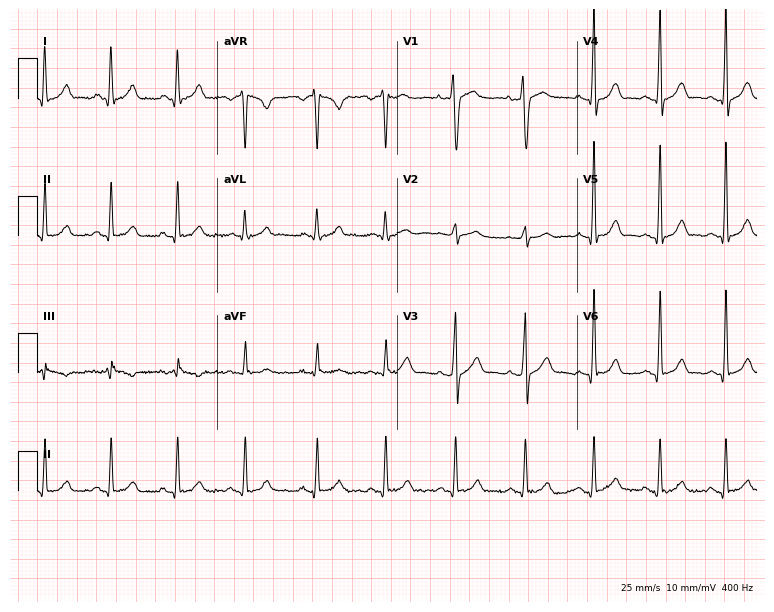
ECG (7.3-second recording at 400 Hz) — a 21-year-old man. Labelled as a normal ECG.